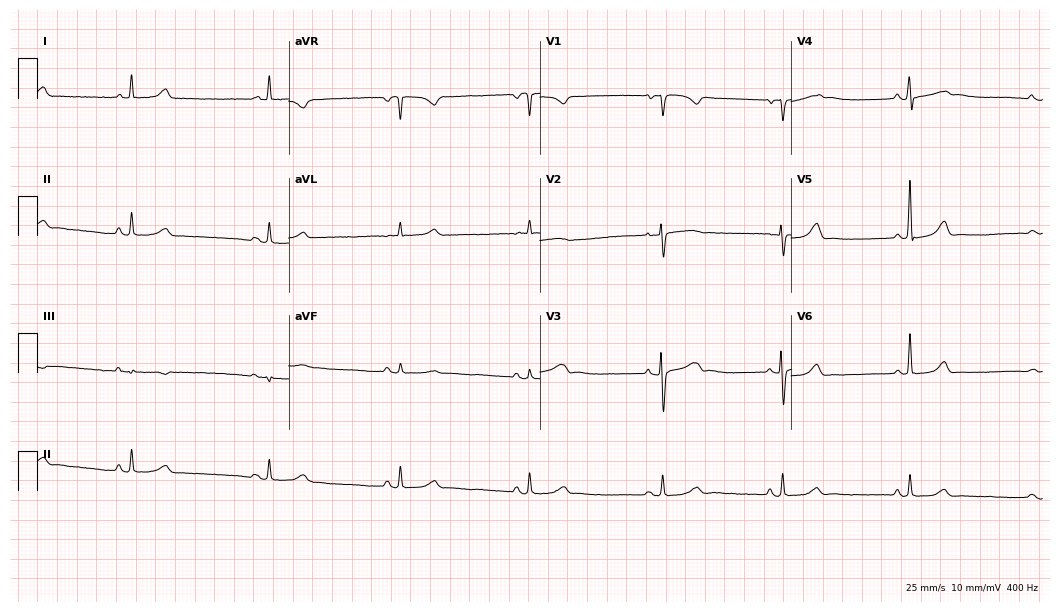
12-lead ECG (10.2-second recording at 400 Hz) from a female, 59 years old. Findings include sinus bradycardia (a sinus rate of 50 beats per minute or less).